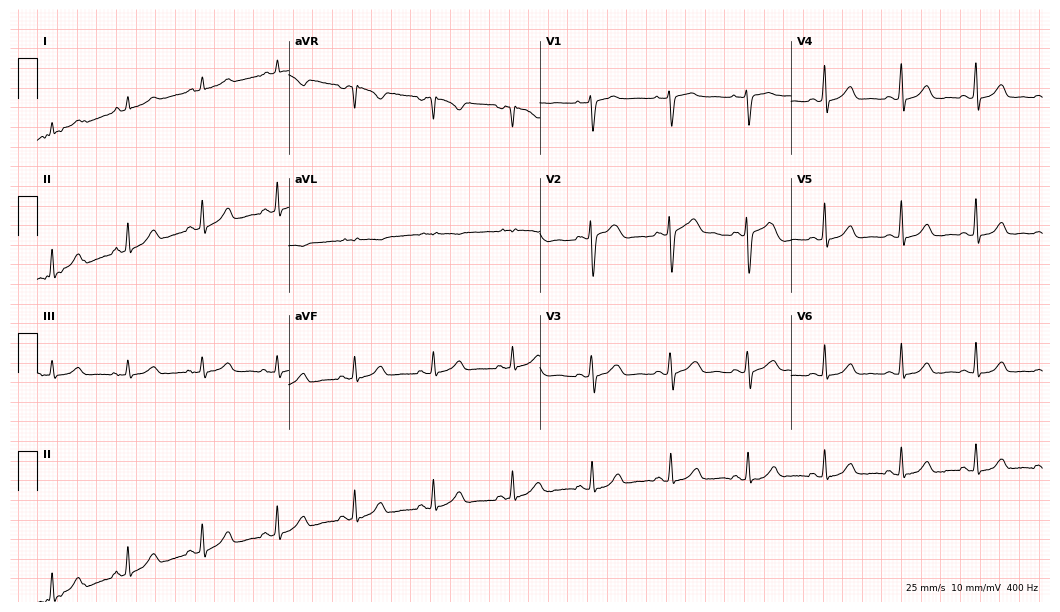
12-lead ECG from a 43-year-old woman. Recorded interpretation: within normal limits.